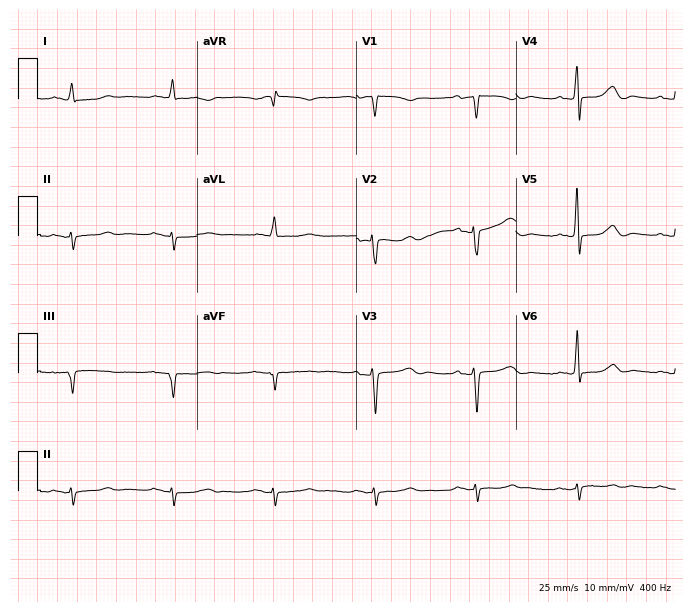
12-lead ECG from a 73-year-old female patient. Screened for six findings — first-degree AV block, right bundle branch block, left bundle branch block, sinus bradycardia, atrial fibrillation, sinus tachycardia — none is recorded. Findings outside these six are not listed.